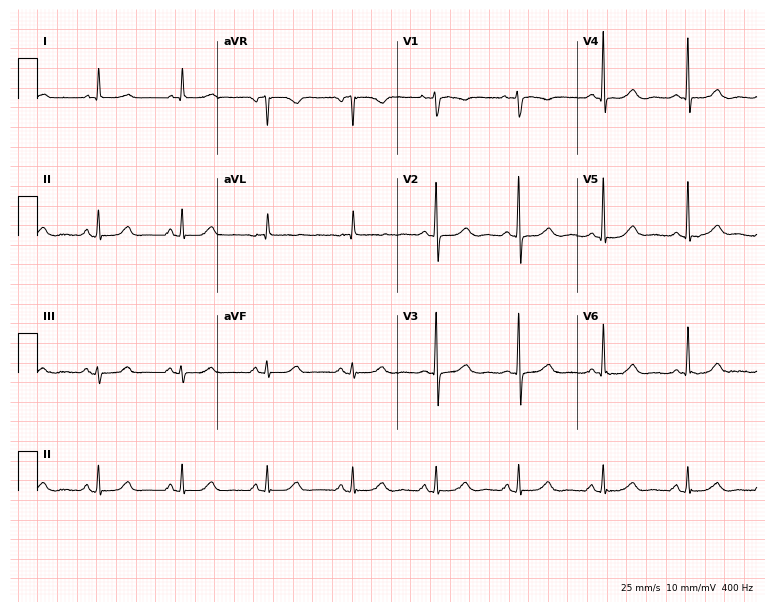
Electrocardiogram, a 78-year-old female. Overall reading on record: normal ECG.